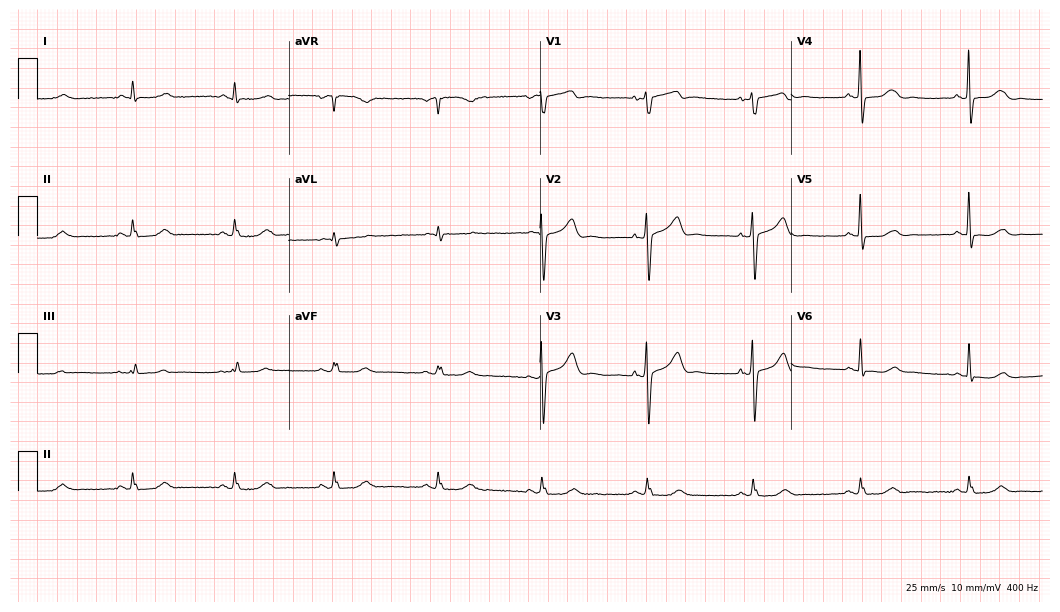
Resting 12-lead electrocardiogram (10.2-second recording at 400 Hz). Patient: a male, 74 years old. Read as a normal ECG.